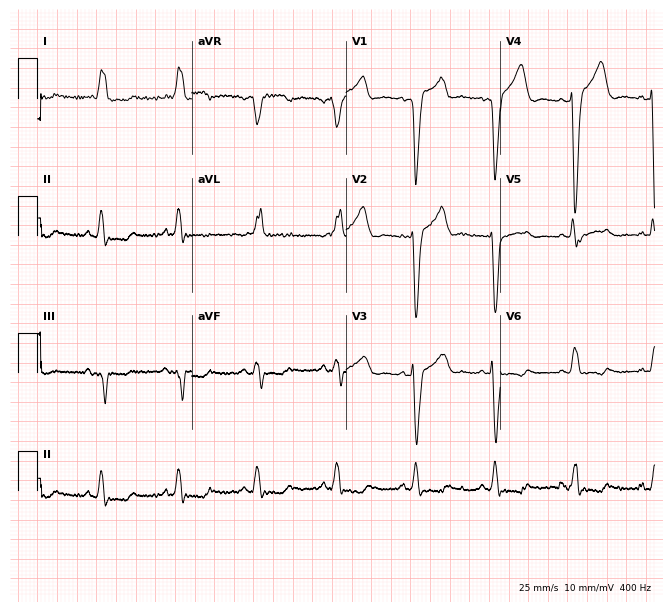
12-lead ECG (6.3-second recording at 400 Hz) from a 77-year-old woman. Findings include left bundle branch block.